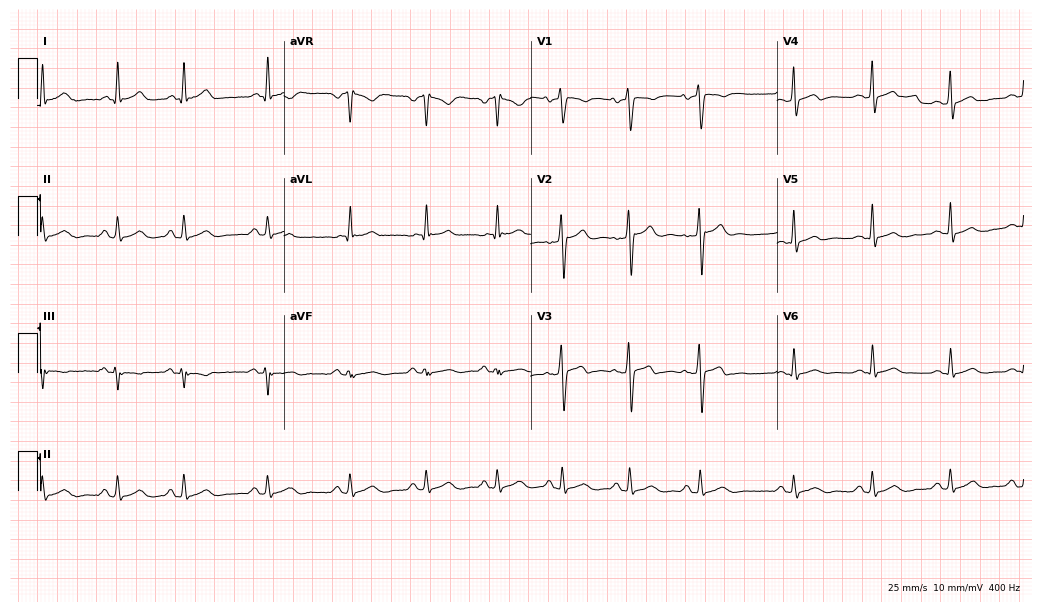
ECG (10.1-second recording at 400 Hz) — a 20-year-old man. Screened for six findings — first-degree AV block, right bundle branch block, left bundle branch block, sinus bradycardia, atrial fibrillation, sinus tachycardia — none is recorded. Findings outside these six are not listed.